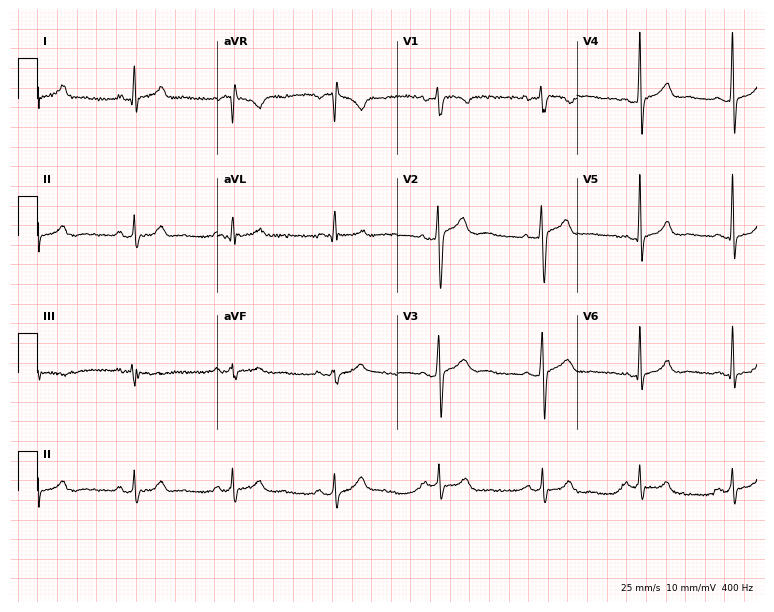
ECG (7.3-second recording at 400 Hz) — a 28-year-old male patient. Screened for six findings — first-degree AV block, right bundle branch block (RBBB), left bundle branch block (LBBB), sinus bradycardia, atrial fibrillation (AF), sinus tachycardia — none is recorded.